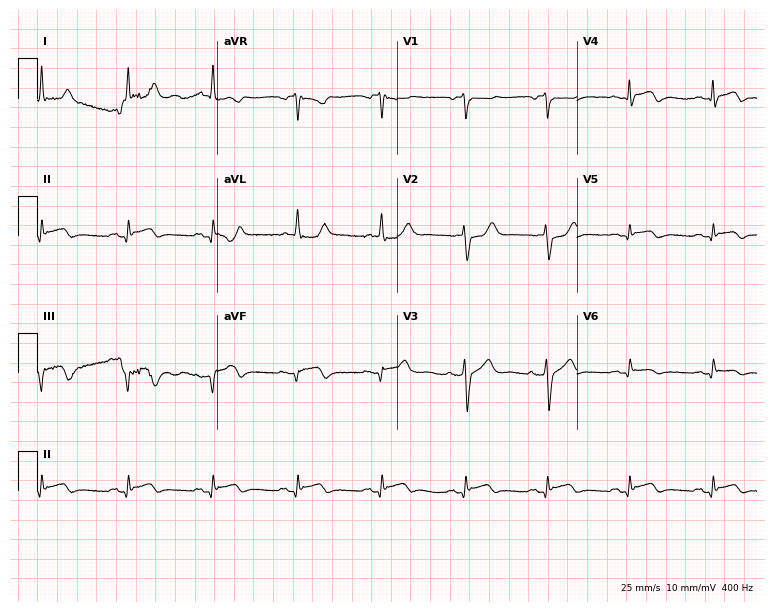
12-lead ECG (7.3-second recording at 400 Hz) from a male patient, 60 years old. Screened for six findings — first-degree AV block, right bundle branch block (RBBB), left bundle branch block (LBBB), sinus bradycardia, atrial fibrillation (AF), sinus tachycardia — none is recorded.